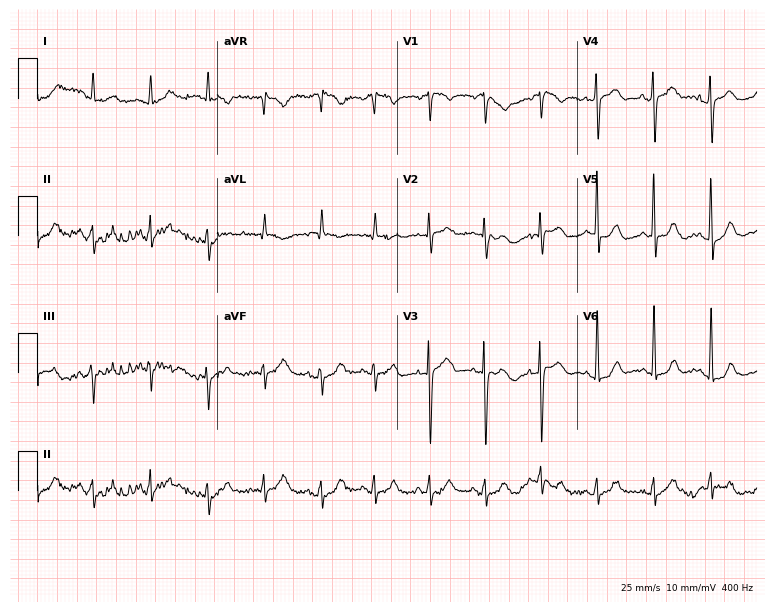
12-lead ECG from a female, 79 years old. Findings include sinus tachycardia (a sinus rate of 100 beats per minute or more).